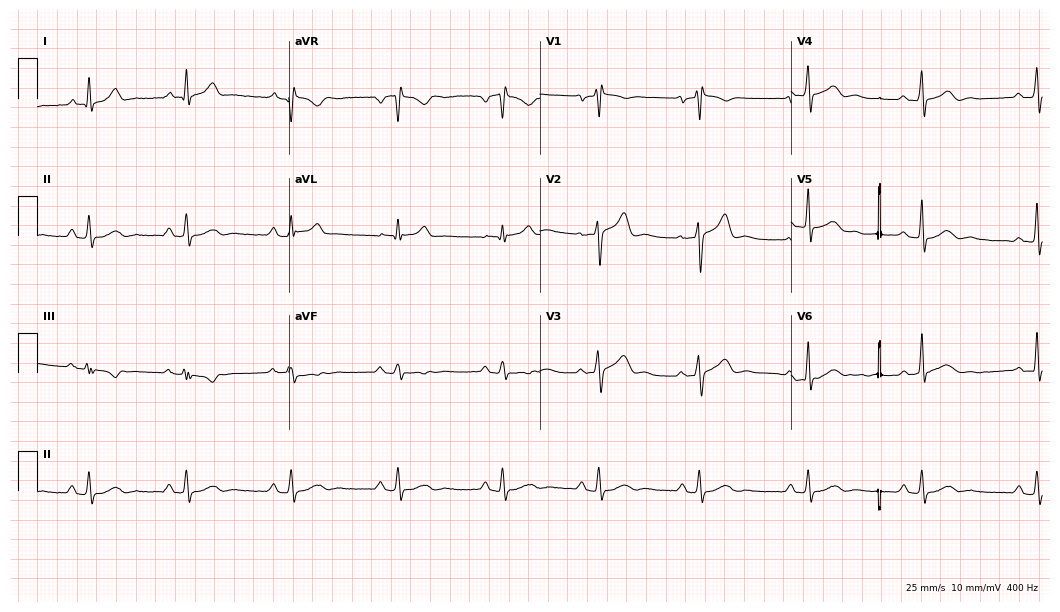
Standard 12-lead ECG recorded from a 46-year-old male patient (10.2-second recording at 400 Hz). None of these six findings is recorded: first-degree AV block, right bundle branch block, left bundle branch block, sinus bradycardia, atrial fibrillation, sinus tachycardia.